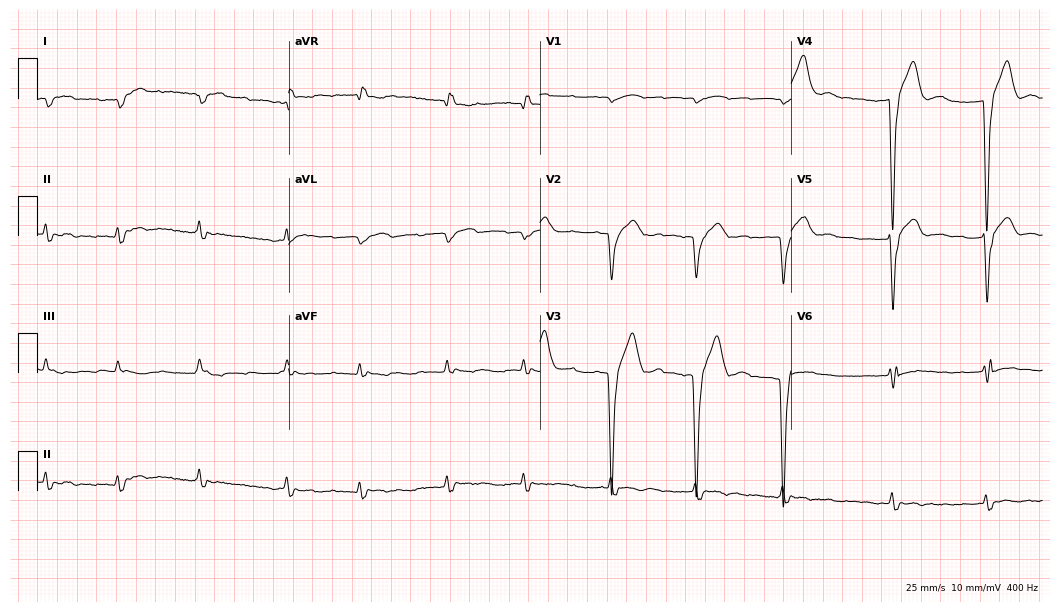
Standard 12-lead ECG recorded from a 74-year-old woman. None of these six findings is recorded: first-degree AV block, right bundle branch block (RBBB), left bundle branch block (LBBB), sinus bradycardia, atrial fibrillation (AF), sinus tachycardia. Other findings, if any, are not listed.